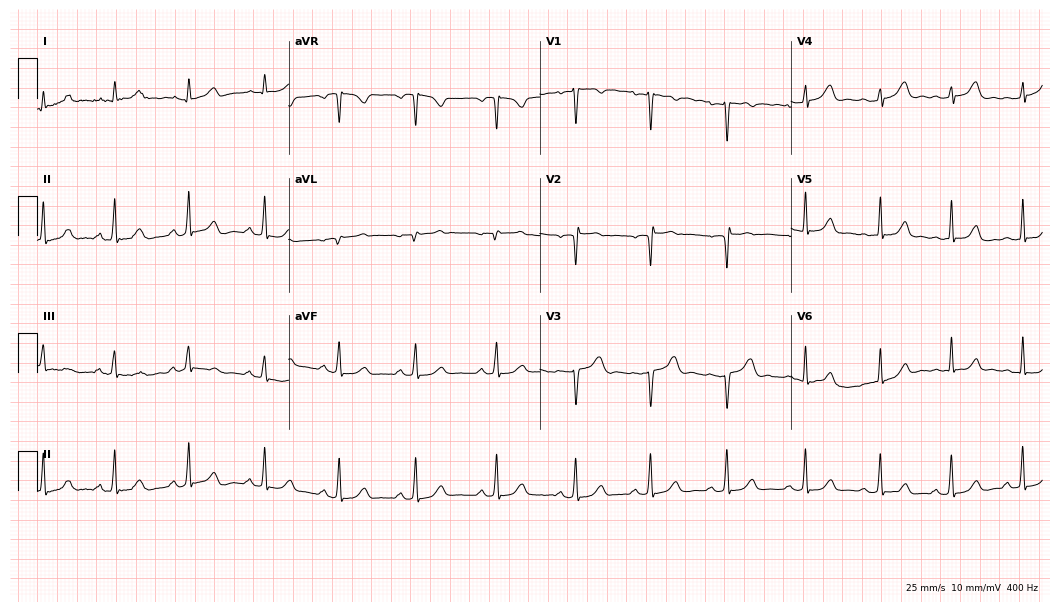
Electrocardiogram (10.2-second recording at 400 Hz), a 22-year-old female patient. Of the six screened findings (first-degree AV block, right bundle branch block (RBBB), left bundle branch block (LBBB), sinus bradycardia, atrial fibrillation (AF), sinus tachycardia), none is recorded.